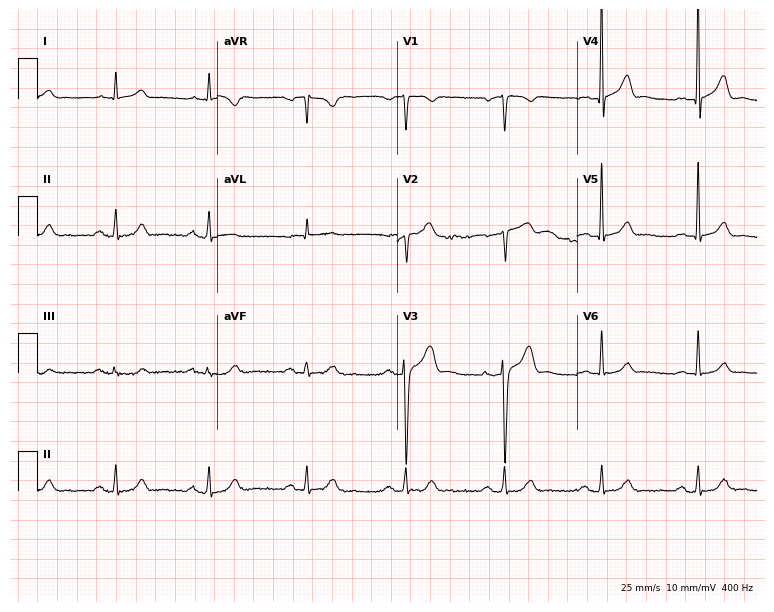
Standard 12-lead ECG recorded from a 68-year-old man (7.3-second recording at 400 Hz). Read as a normal ECG.